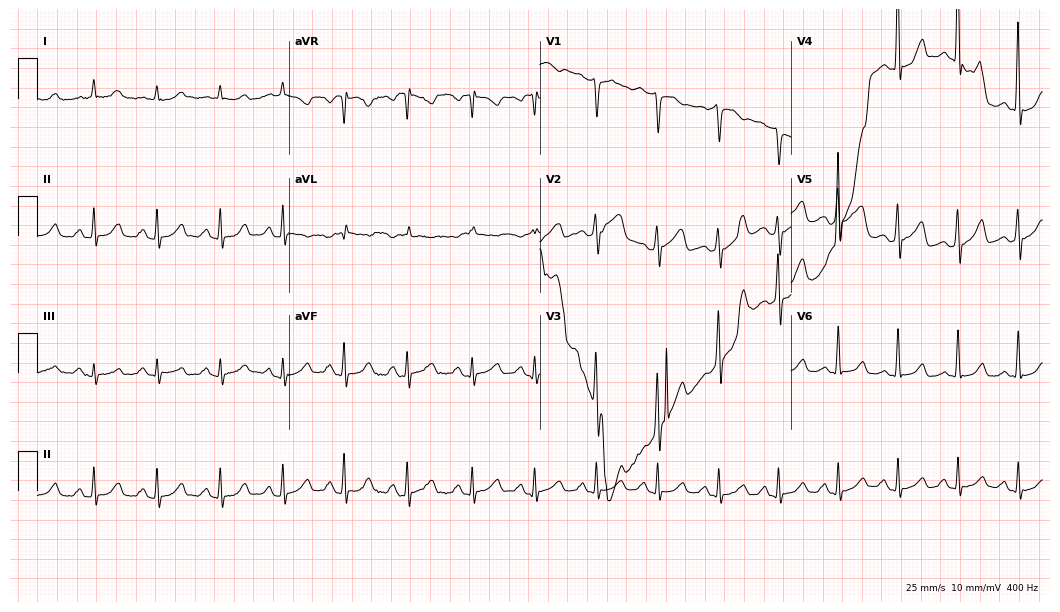
12-lead ECG from a female, 46 years old (10.2-second recording at 400 Hz). Recorded interpretation: within normal limits.